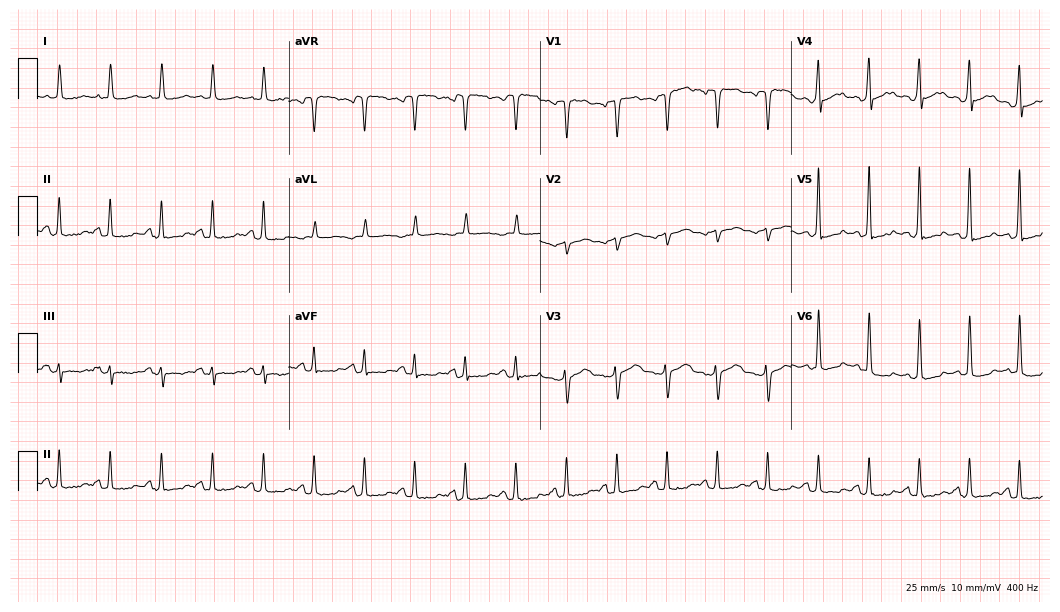
Electrocardiogram, a 60-year-old male. Interpretation includes sinus tachycardia (a sinus rate of 100 beats per minute or more).